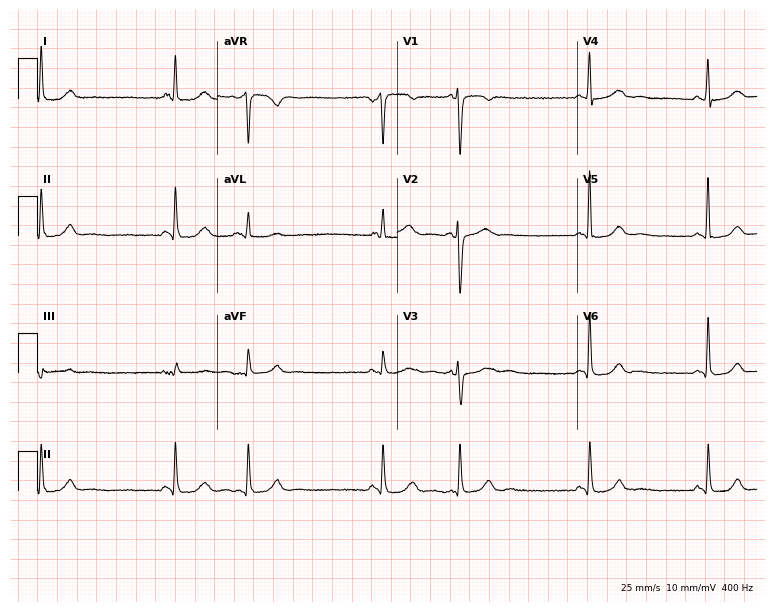
Resting 12-lead electrocardiogram. Patient: a female, 47 years old. Read as a normal ECG.